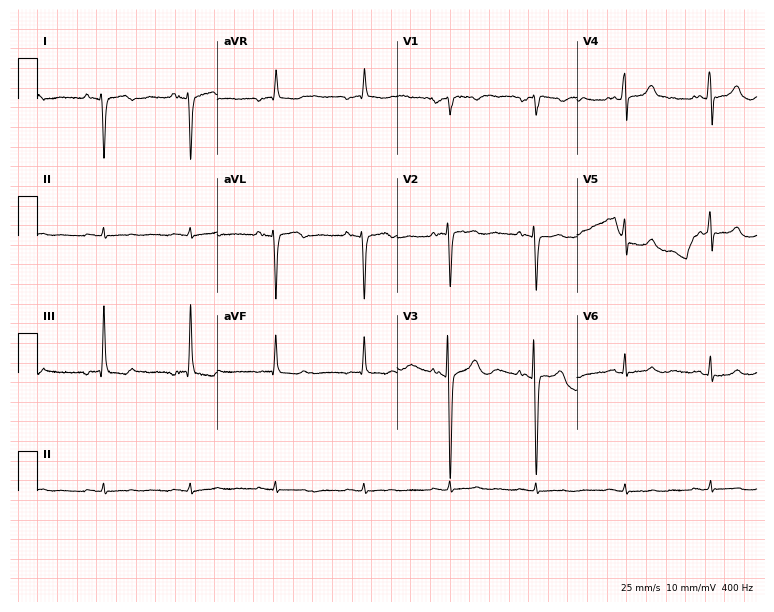
ECG — a 50-year-old woman. Screened for six findings — first-degree AV block, right bundle branch block (RBBB), left bundle branch block (LBBB), sinus bradycardia, atrial fibrillation (AF), sinus tachycardia — none is recorded.